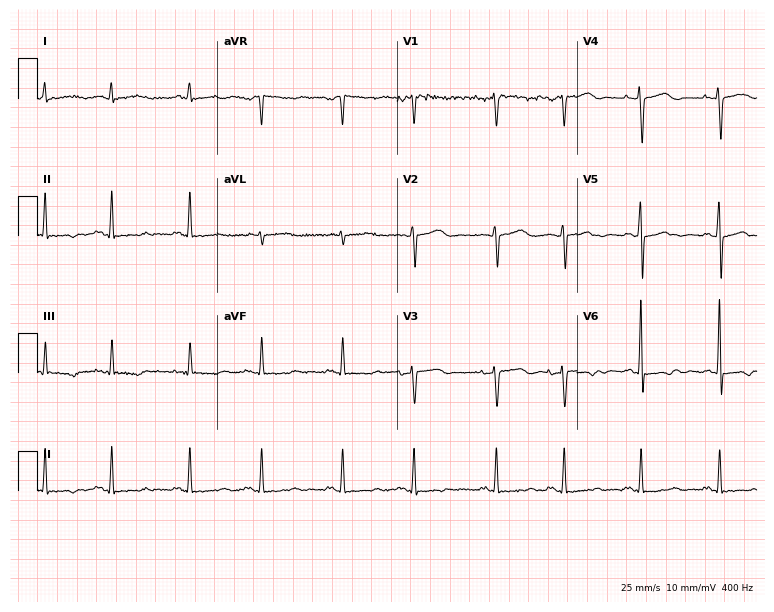
ECG (7.3-second recording at 400 Hz) — a 68-year-old female patient. Screened for six findings — first-degree AV block, right bundle branch block, left bundle branch block, sinus bradycardia, atrial fibrillation, sinus tachycardia — none is recorded. Only these six findings were labelled.